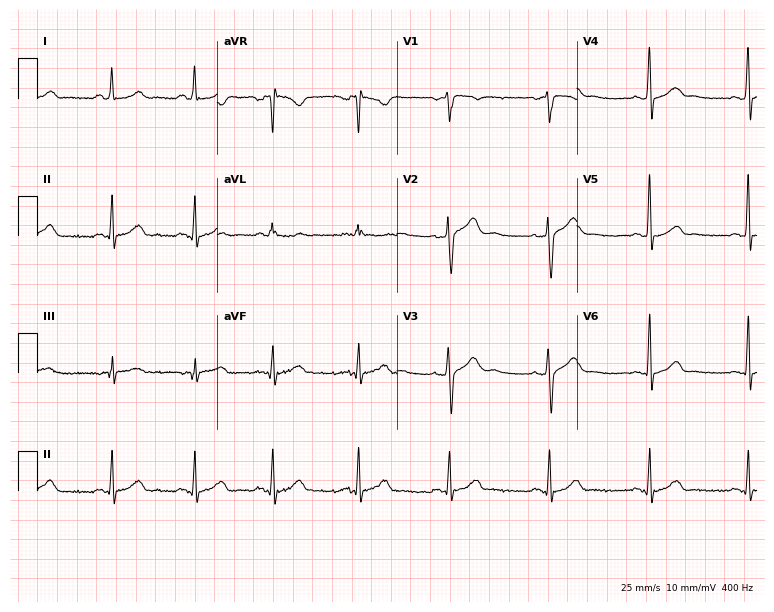
12-lead ECG from a male, 29 years old. Recorded interpretation: within normal limits.